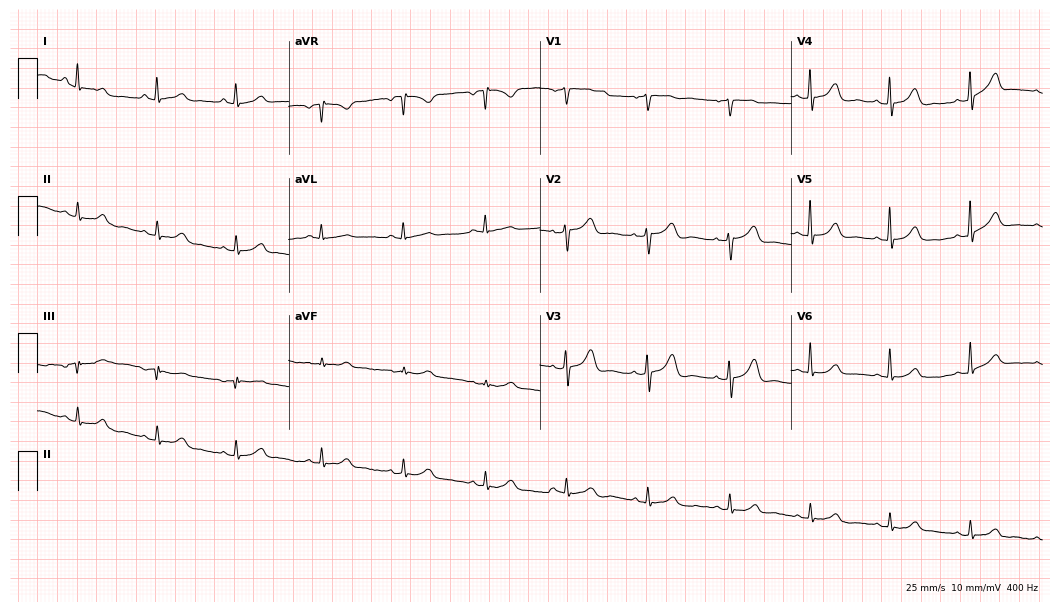
Electrocardiogram, a 56-year-old female. Overall reading on record: normal ECG.